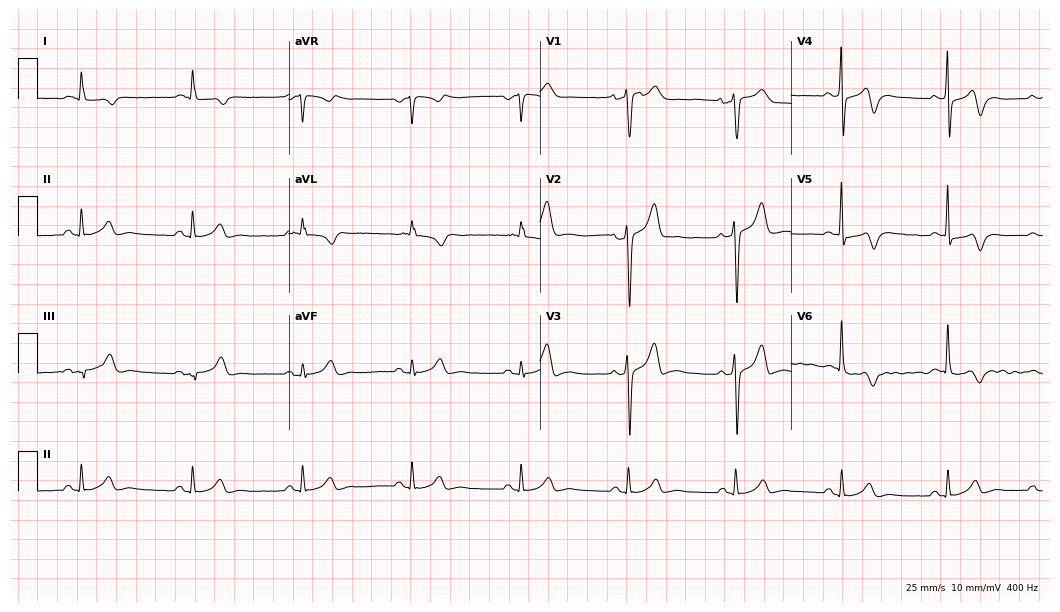
Standard 12-lead ECG recorded from a male patient, 68 years old. None of these six findings is recorded: first-degree AV block, right bundle branch block, left bundle branch block, sinus bradycardia, atrial fibrillation, sinus tachycardia. Other findings, if any, are not listed.